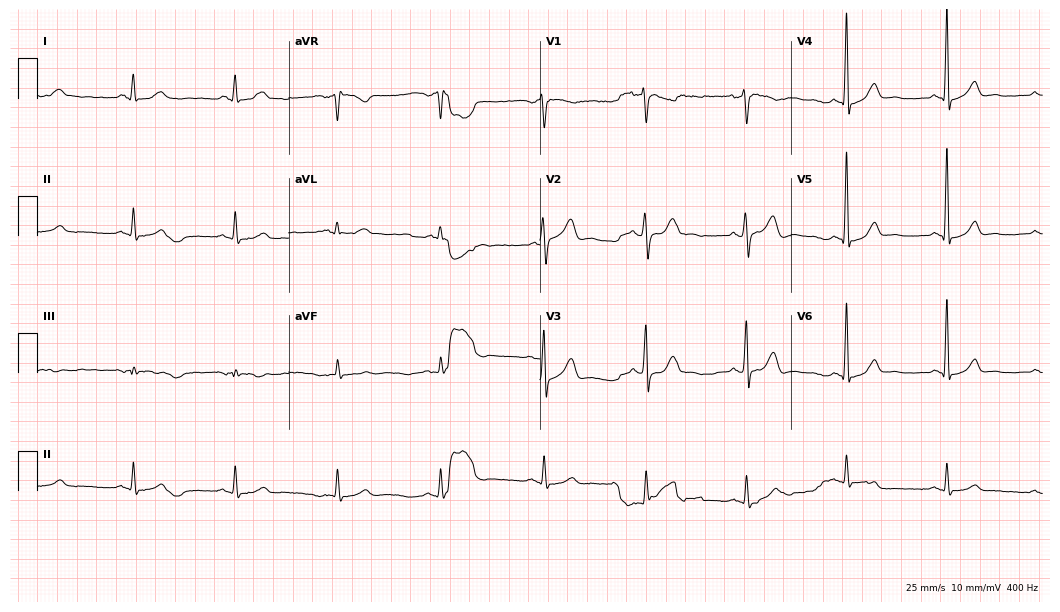
Electrocardiogram, a 56-year-old man. Of the six screened findings (first-degree AV block, right bundle branch block, left bundle branch block, sinus bradycardia, atrial fibrillation, sinus tachycardia), none is recorded. Only these six findings were labelled.